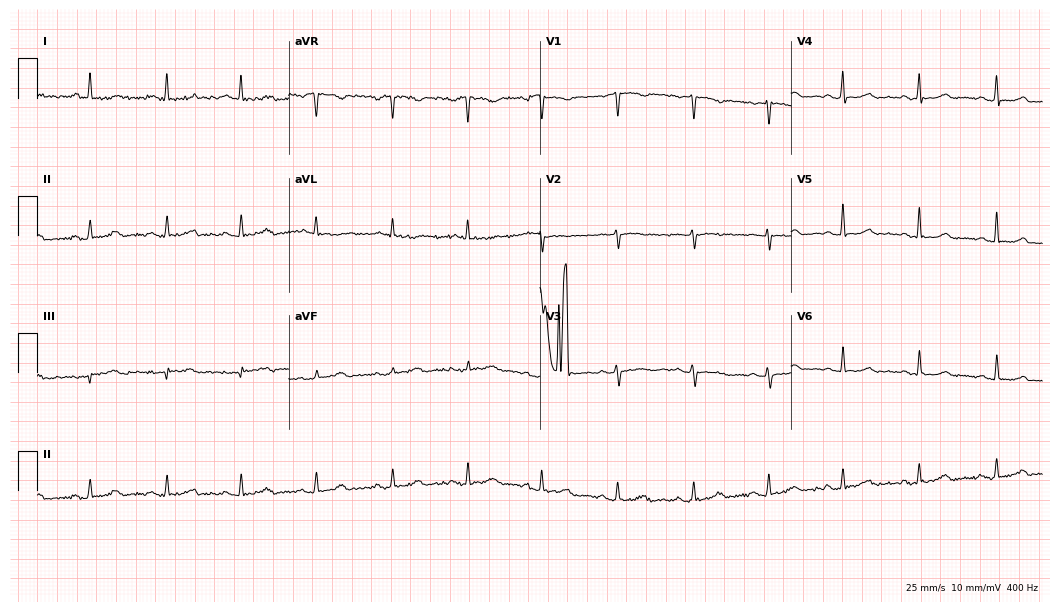
12-lead ECG (10.2-second recording at 400 Hz) from a female patient, 47 years old. Labelled as a normal ECG.